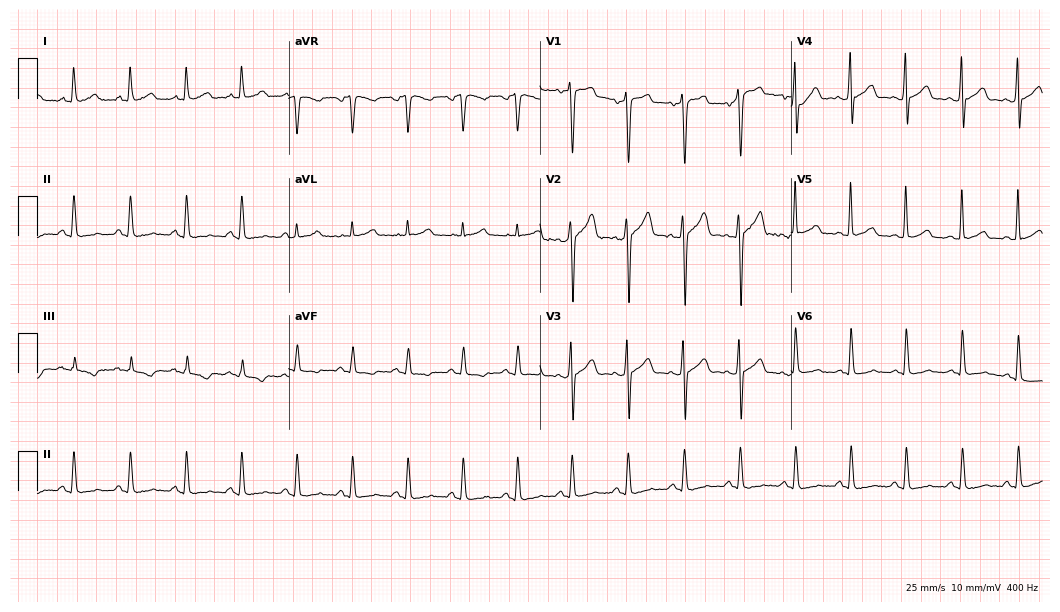
12-lead ECG from a male patient, 43 years old. Findings include sinus tachycardia (a sinus rate of 100 beats per minute or more).